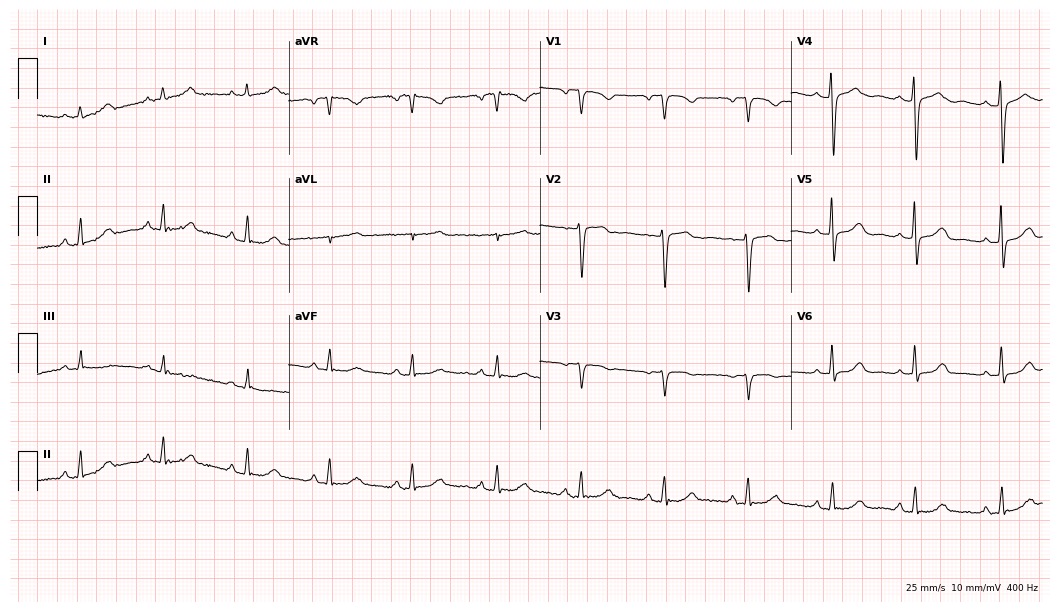
Electrocardiogram, a 62-year-old female. Of the six screened findings (first-degree AV block, right bundle branch block, left bundle branch block, sinus bradycardia, atrial fibrillation, sinus tachycardia), none is recorded.